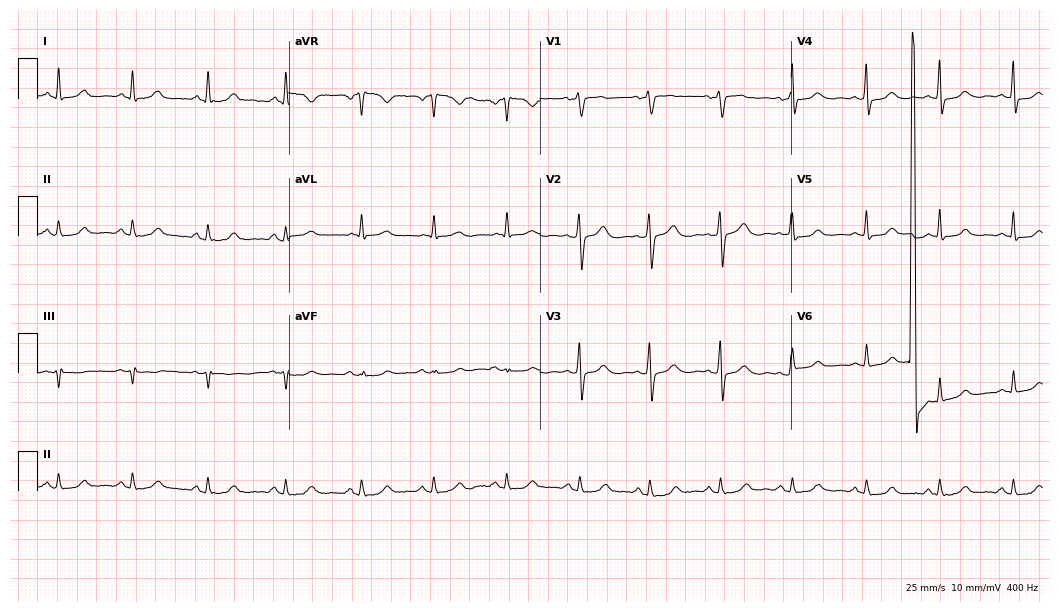
ECG (10.2-second recording at 400 Hz) — a female patient, 54 years old. Screened for six findings — first-degree AV block, right bundle branch block (RBBB), left bundle branch block (LBBB), sinus bradycardia, atrial fibrillation (AF), sinus tachycardia — none is recorded.